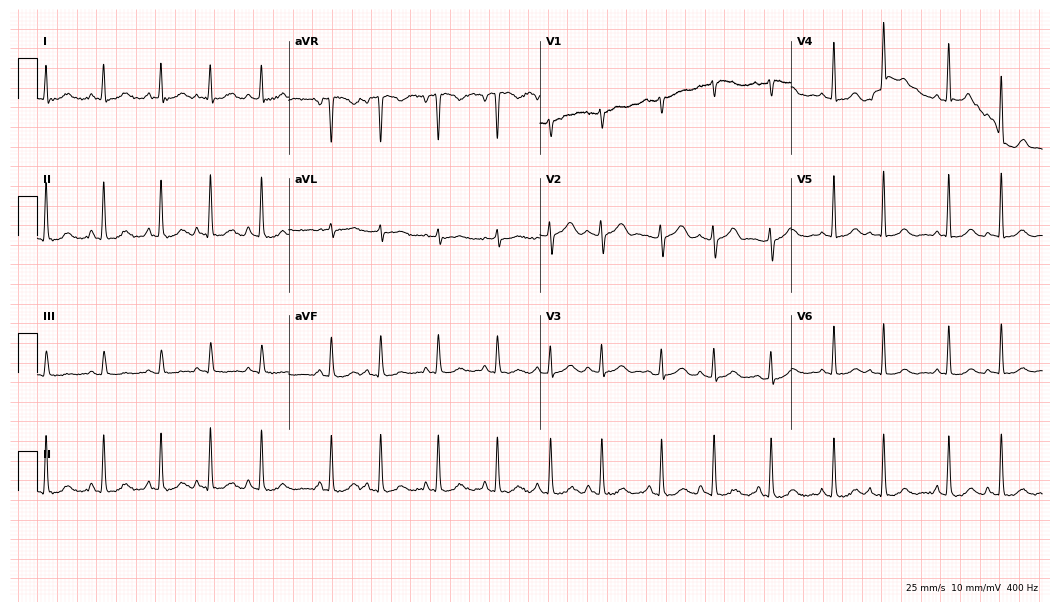
Standard 12-lead ECG recorded from a 69-year-old woman. None of these six findings is recorded: first-degree AV block, right bundle branch block (RBBB), left bundle branch block (LBBB), sinus bradycardia, atrial fibrillation (AF), sinus tachycardia.